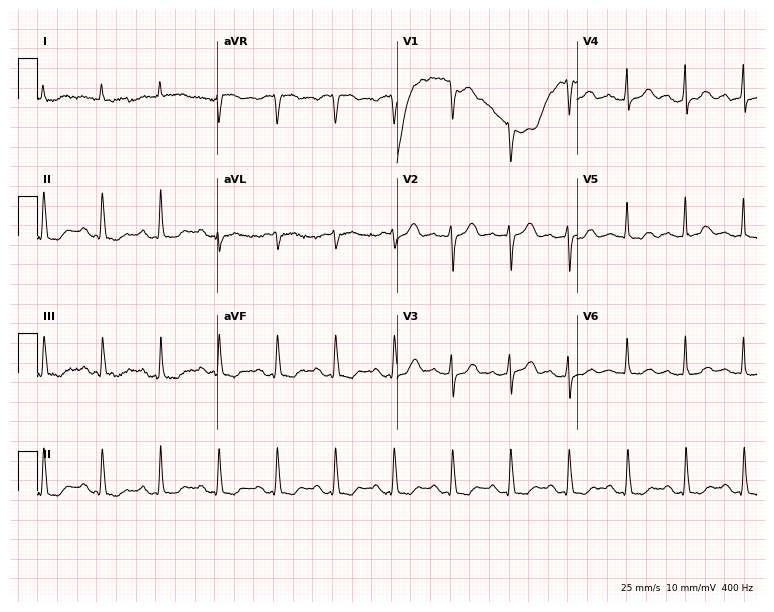
Resting 12-lead electrocardiogram (7.3-second recording at 400 Hz). Patient: a woman, 84 years old. The tracing shows sinus tachycardia (a sinus rate of 100 beats per minute or more).